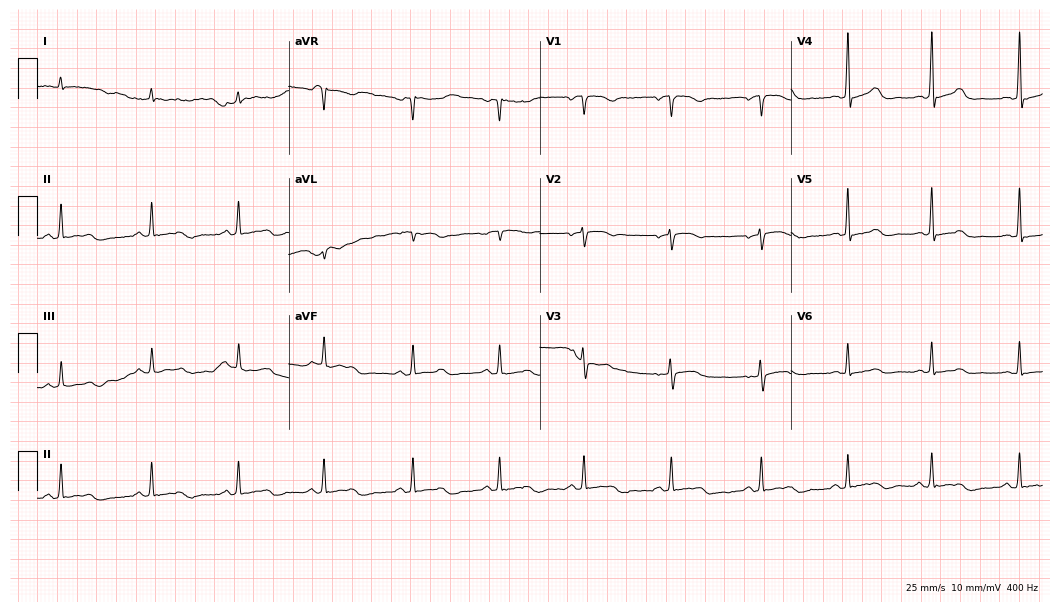
12-lead ECG from a 35-year-old female patient. No first-degree AV block, right bundle branch block (RBBB), left bundle branch block (LBBB), sinus bradycardia, atrial fibrillation (AF) or sinus tachycardia recorded for this tracing. Findings outside these six are not listed.